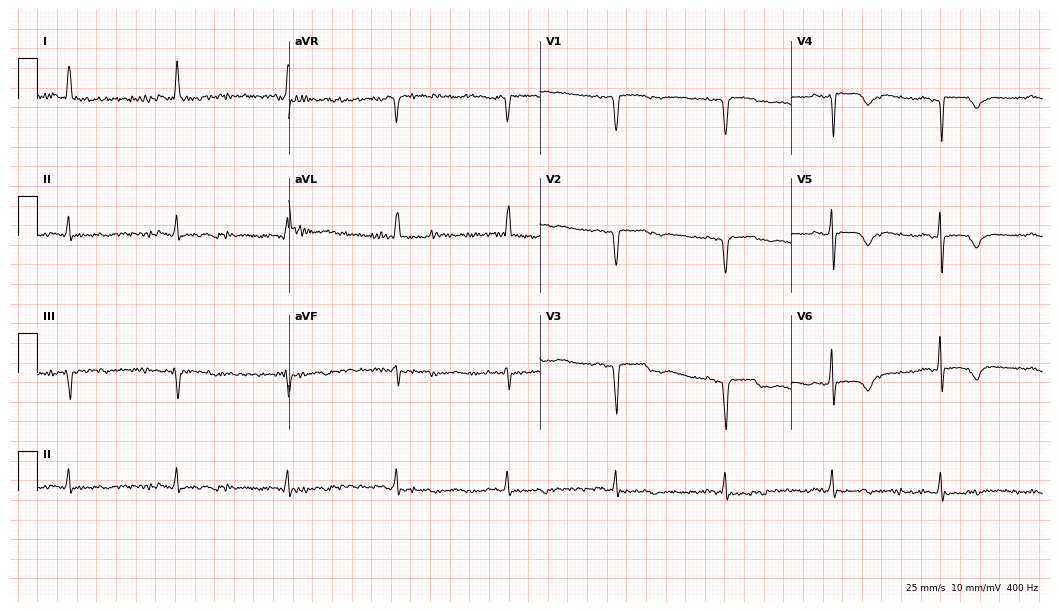
Resting 12-lead electrocardiogram (10.2-second recording at 400 Hz). Patient: a 76-year-old woman. None of these six findings is recorded: first-degree AV block, right bundle branch block, left bundle branch block, sinus bradycardia, atrial fibrillation, sinus tachycardia. Other findings, if any, are not listed.